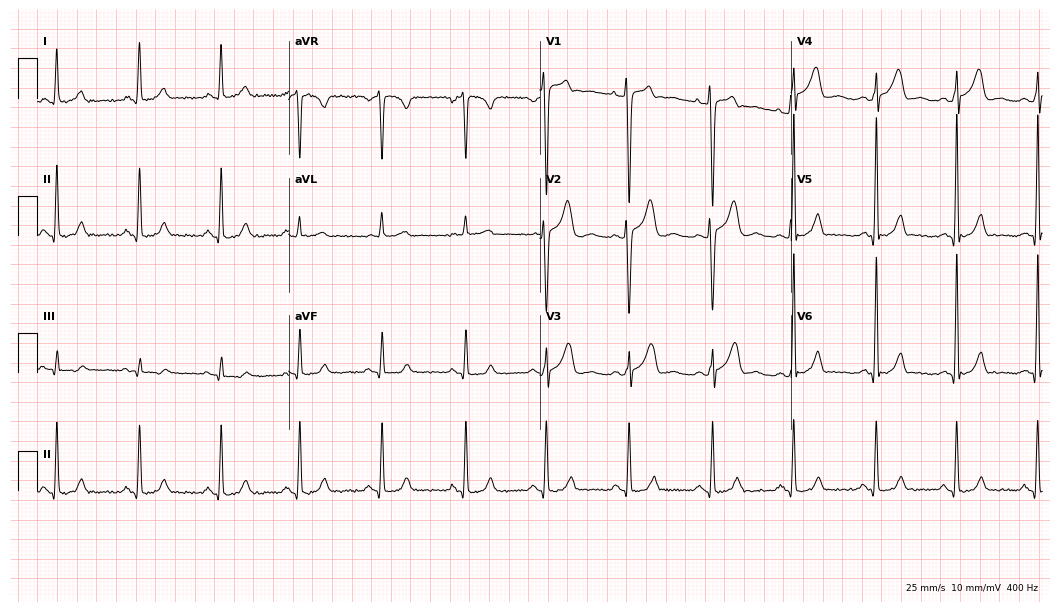
12-lead ECG from a female patient, 31 years old. Recorded interpretation: within normal limits.